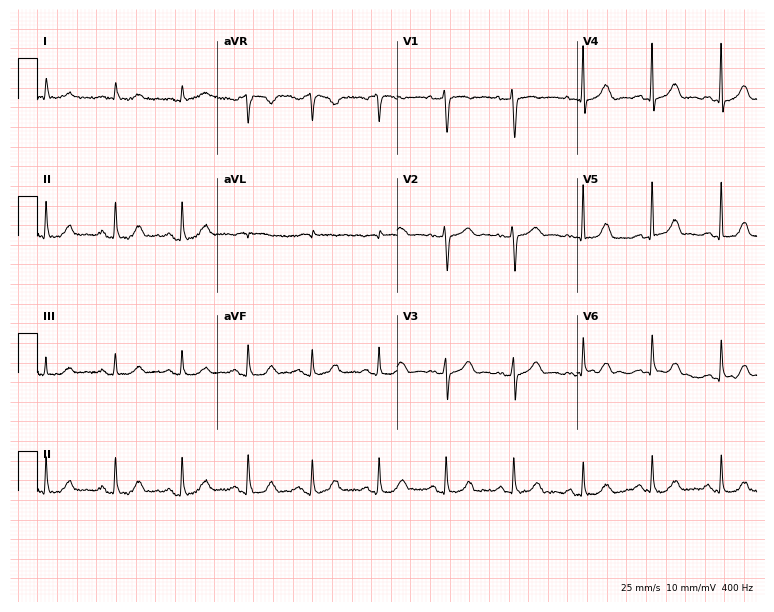
Resting 12-lead electrocardiogram. Patient: a woman, 82 years old. Read as a normal ECG.